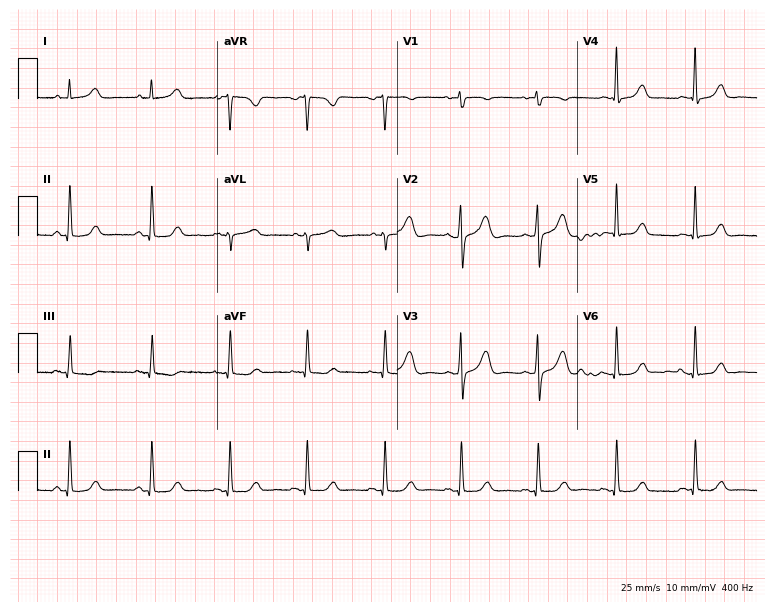
Electrocardiogram (7.3-second recording at 400 Hz), a 47-year-old female. Overall reading on record: normal ECG.